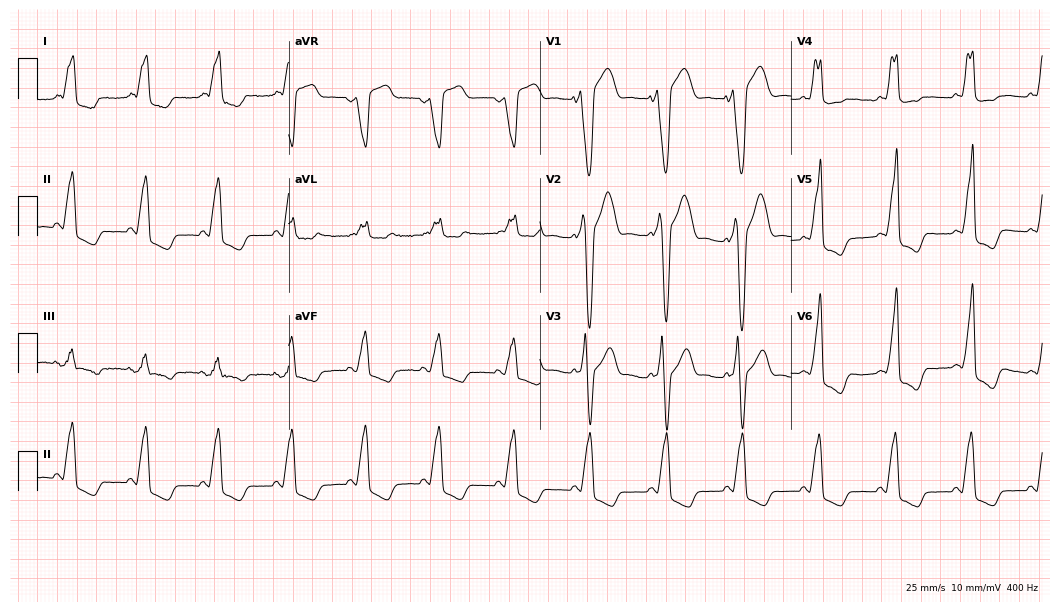
Electrocardiogram, a 33-year-old male. Of the six screened findings (first-degree AV block, right bundle branch block, left bundle branch block, sinus bradycardia, atrial fibrillation, sinus tachycardia), none is recorded. Only these six findings were labelled.